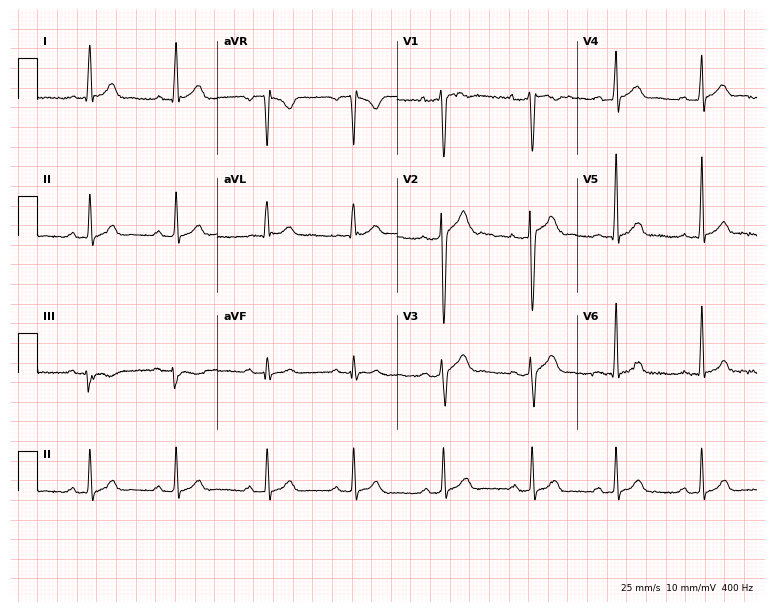
Electrocardiogram, a male, 20 years old. Of the six screened findings (first-degree AV block, right bundle branch block, left bundle branch block, sinus bradycardia, atrial fibrillation, sinus tachycardia), none is recorded. Other findings, if any, are not listed.